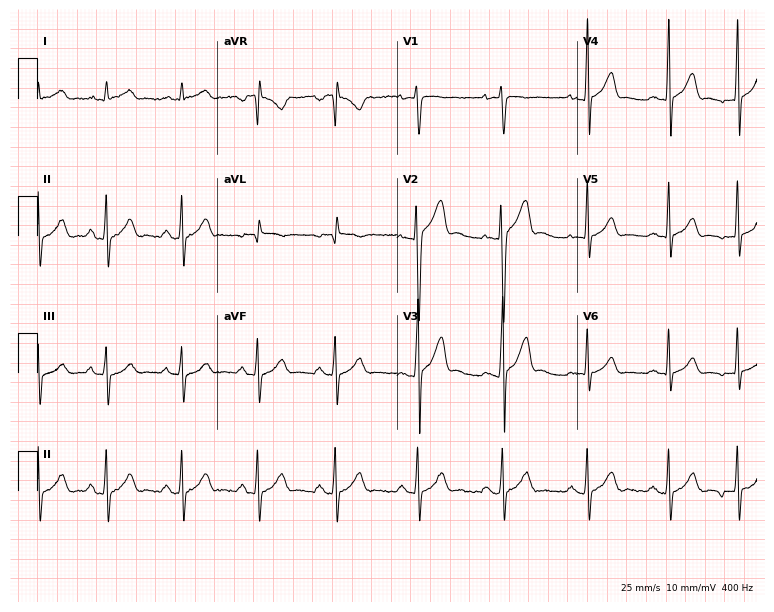
ECG (7.3-second recording at 400 Hz) — a male, 25 years old. Labelled as a normal ECG.